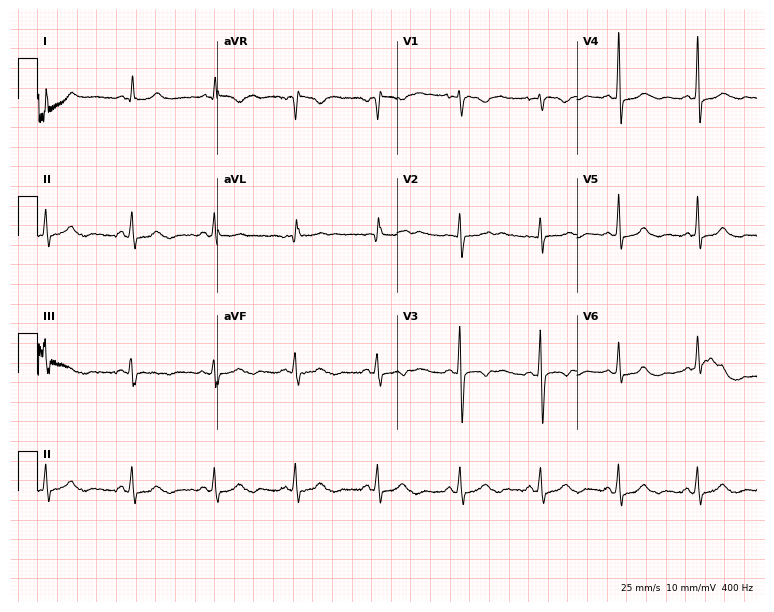
ECG — a woman, 34 years old. Screened for six findings — first-degree AV block, right bundle branch block, left bundle branch block, sinus bradycardia, atrial fibrillation, sinus tachycardia — none is recorded. Other findings, if any, are not listed.